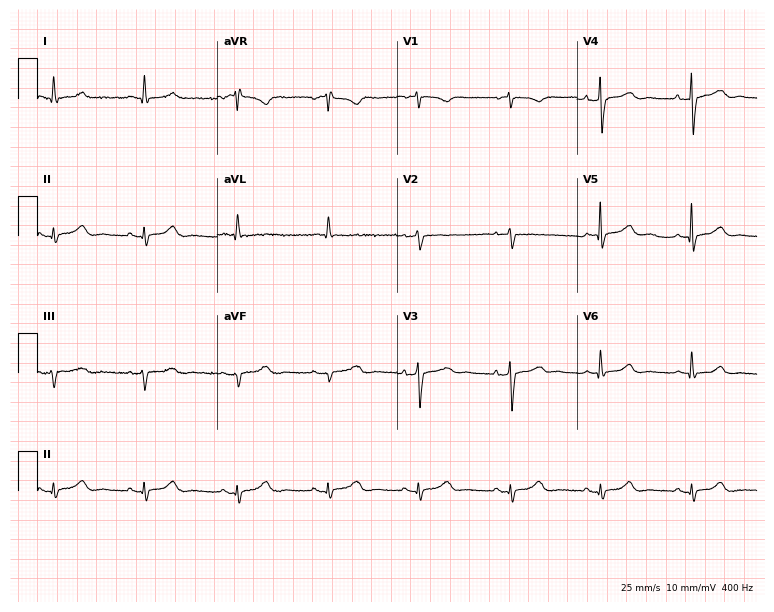
Electrocardiogram, a female, 79 years old. Of the six screened findings (first-degree AV block, right bundle branch block (RBBB), left bundle branch block (LBBB), sinus bradycardia, atrial fibrillation (AF), sinus tachycardia), none is recorded.